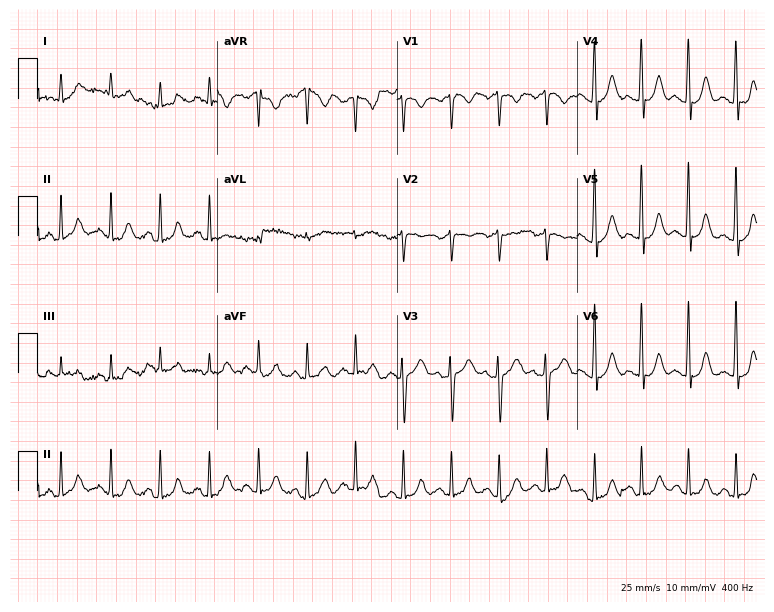
Standard 12-lead ECG recorded from a male, 41 years old. None of these six findings is recorded: first-degree AV block, right bundle branch block, left bundle branch block, sinus bradycardia, atrial fibrillation, sinus tachycardia.